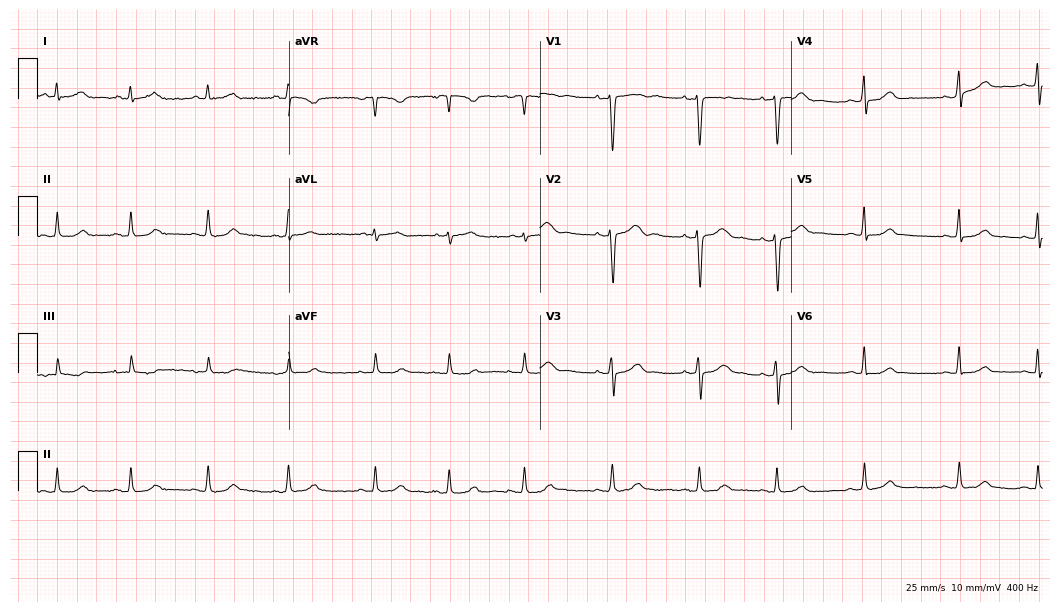
Standard 12-lead ECG recorded from a female patient, 33 years old (10.2-second recording at 400 Hz). None of these six findings is recorded: first-degree AV block, right bundle branch block, left bundle branch block, sinus bradycardia, atrial fibrillation, sinus tachycardia.